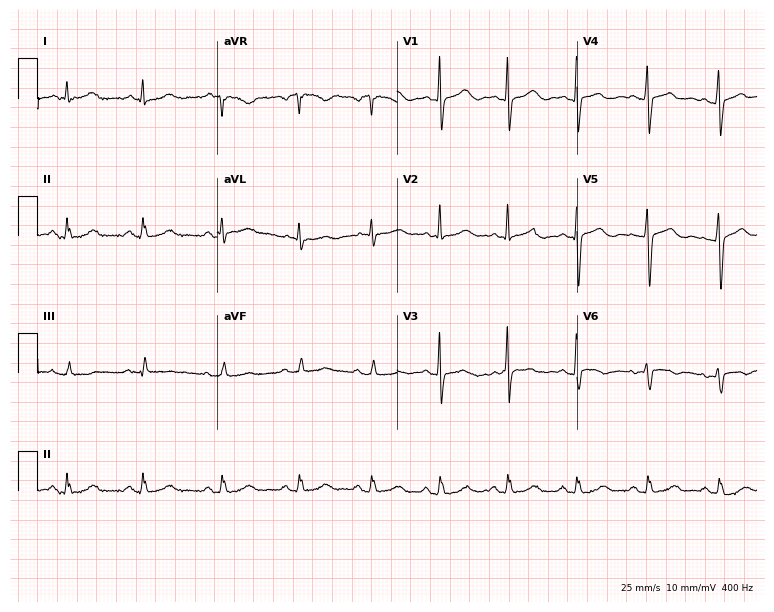
Standard 12-lead ECG recorded from a woman, 39 years old (7.3-second recording at 400 Hz). None of these six findings is recorded: first-degree AV block, right bundle branch block, left bundle branch block, sinus bradycardia, atrial fibrillation, sinus tachycardia. Other findings, if any, are not listed.